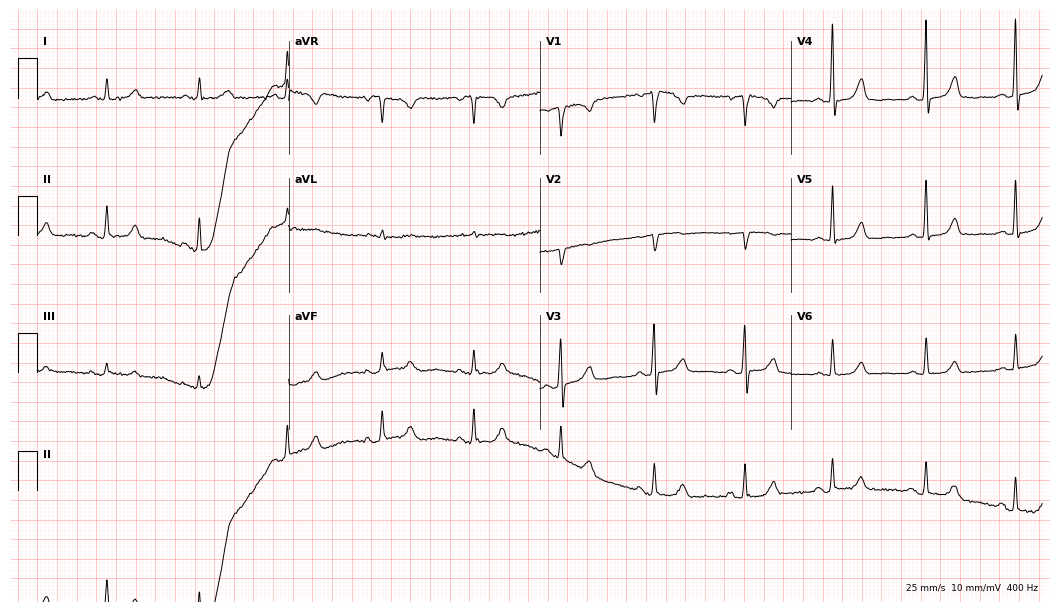
ECG (10.2-second recording at 400 Hz) — a female patient, 64 years old. Labelled as a normal ECG.